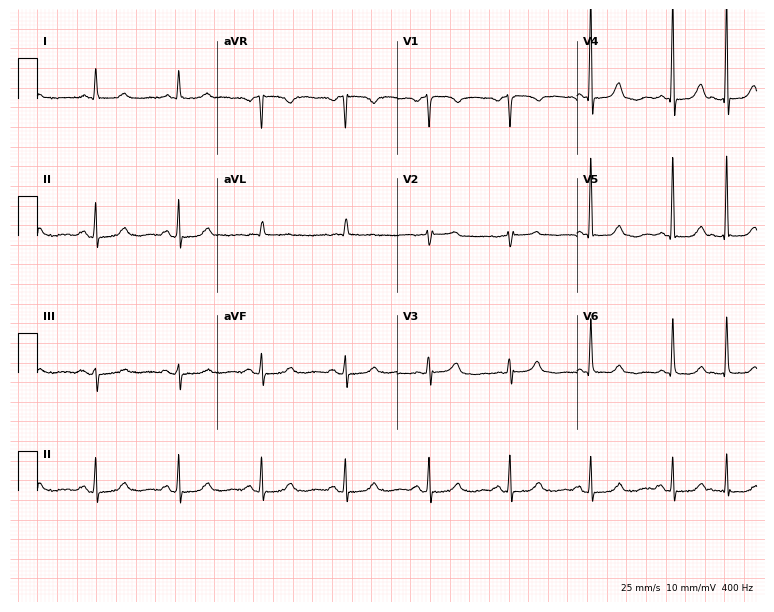
12-lead ECG from a female, 79 years old (7.3-second recording at 400 Hz). No first-degree AV block, right bundle branch block (RBBB), left bundle branch block (LBBB), sinus bradycardia, atrial fibrillation (AF) or sinus tachycardia recorded for this tracing. Only these six findings were labelled.